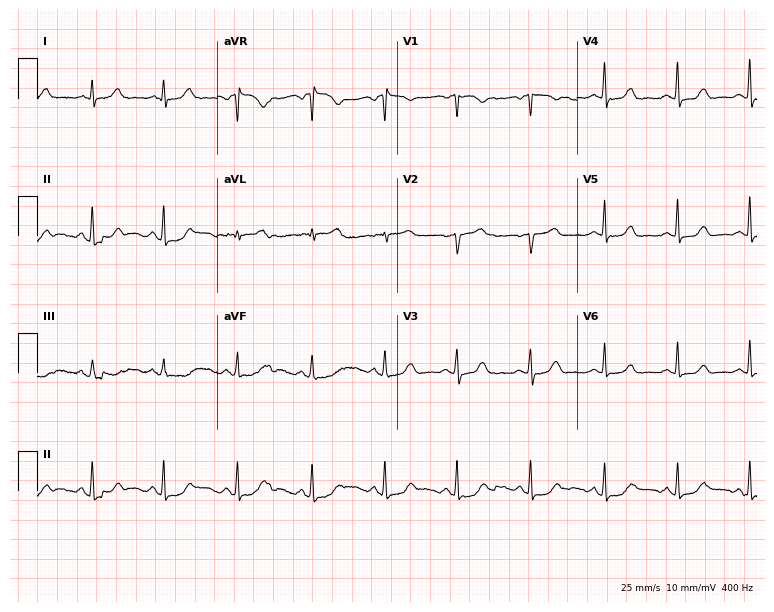
Standard 12-lead ECG recorded from a 52-year-old woman (7.3-second recording at 400 Hz). Read as a normal ECG.